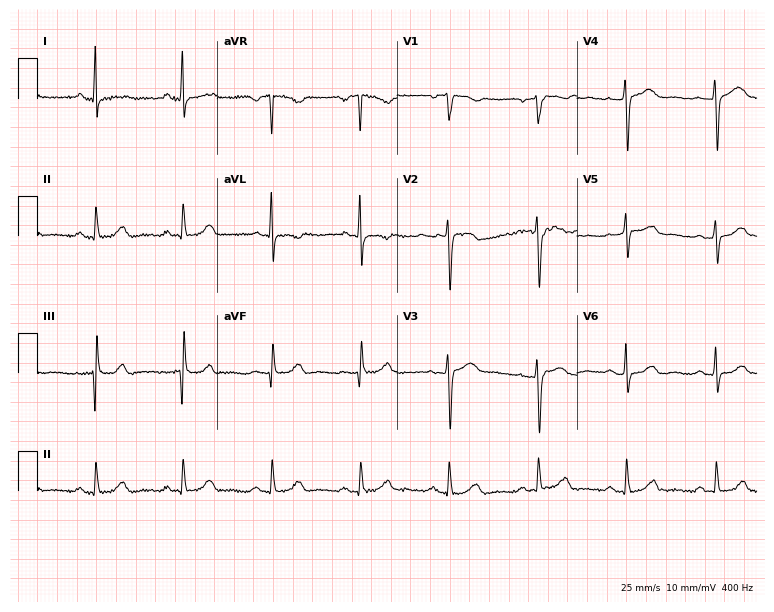
ECG (7.3-second recording at 400 Hz) — a 57-year-old female. Screened for six findings — first-degree AV block, right bundle branch block, left bundle branch block, sinus bradycardia, atrial fibrillation, sinus tachycardia — none is recorded.